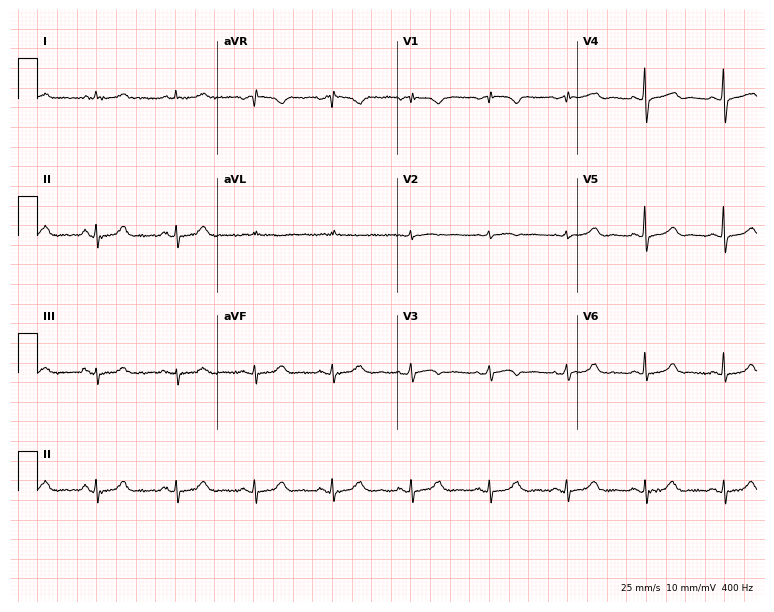
Electrocardiogram (7.3-second recording at 400 Hz), a woman, 55 years old. Of the six screened findings (first-degree AV block, right bundle branch block (RBBB), left bundle branch block (LBBB), sinus bradycardia, atrial fibrillation (AF), sinus tachycardia), none is recorded. Only these six findings were labelled.